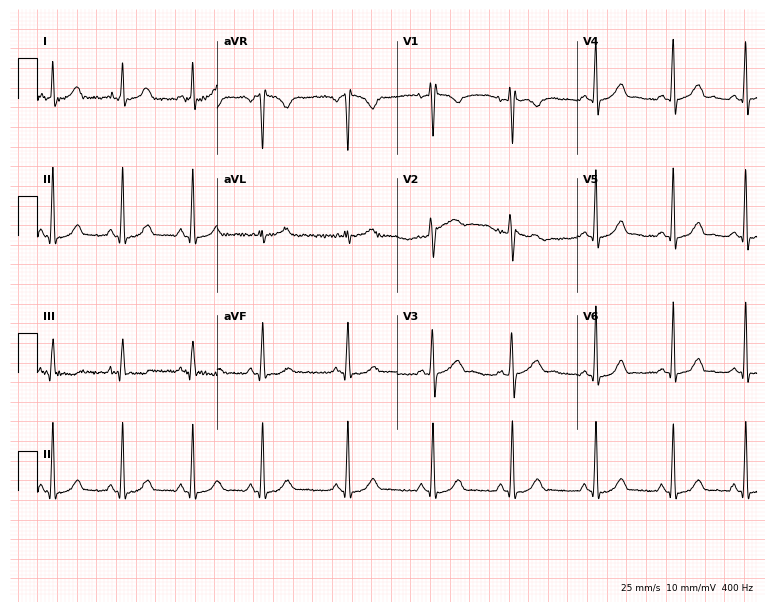
Standard 12-lead ECG recorded from a 19-year-old female patient. None of these six findings is recorded: first-degree AV block, right bundle branch block, left bundle branch block, sinus bradycardia, atrial fibrillation, sinus tachycardia. Only these six findings were labelled.